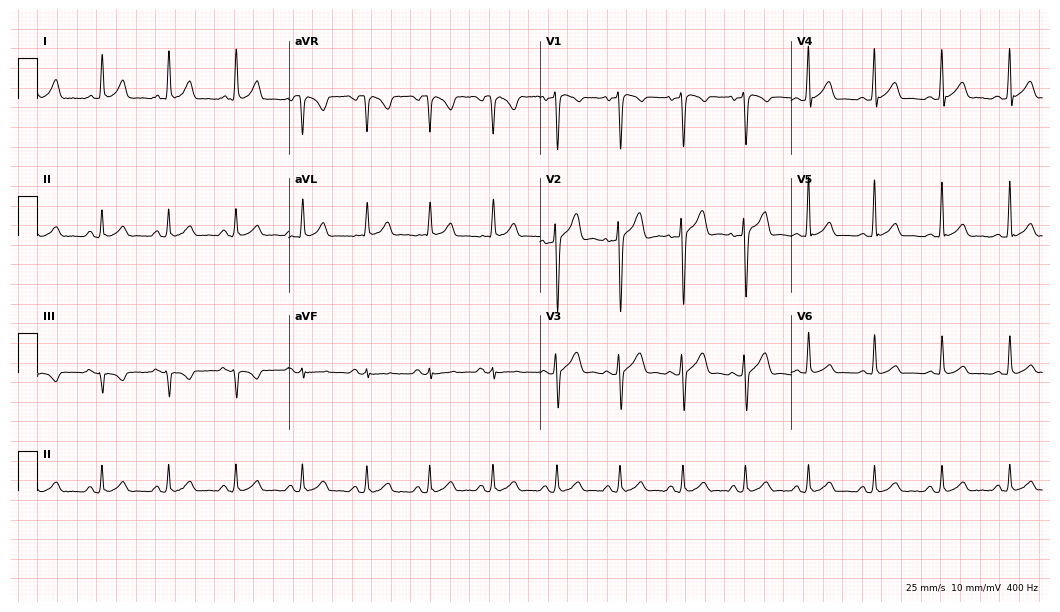
12-lead ECG from a man, 36 years old (10.2-second recording at 400 Hz). Recorded interpretation: within normal limits.